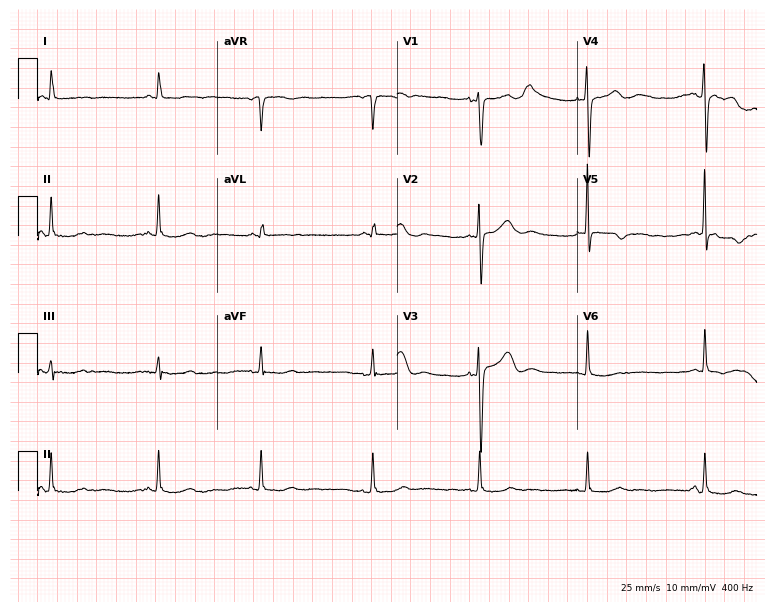
Electrocardiogram, a female, 62 years old. Of the six screened findings (first-degree AV block, right bundle branch block (RBBB), left bundle branch block (LBBB), sinus bradycardia, atrial fibrillation (AF), sinus tachycardia), none is recorded. Only these six findings were labelled.